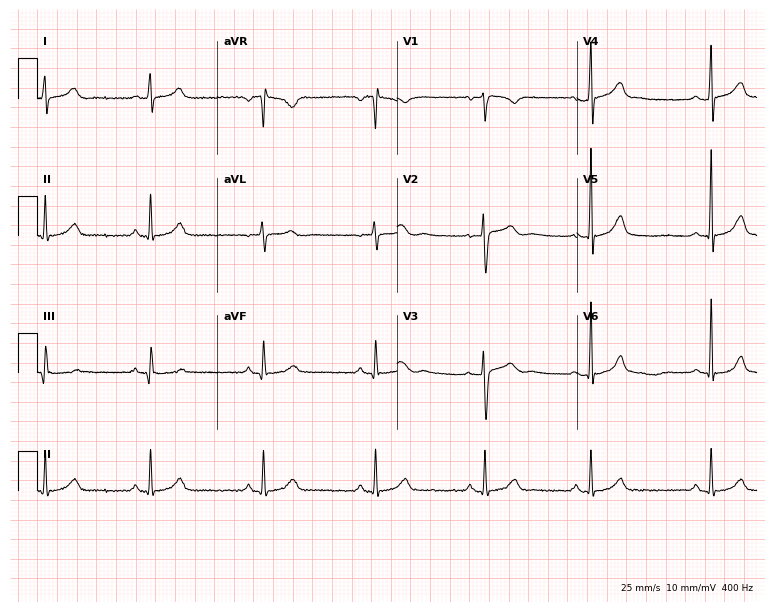
12-lead ECG from a woman, 29 years old (7.3-second recording at 400 Hz). Recorded interpretation: within normal limits.